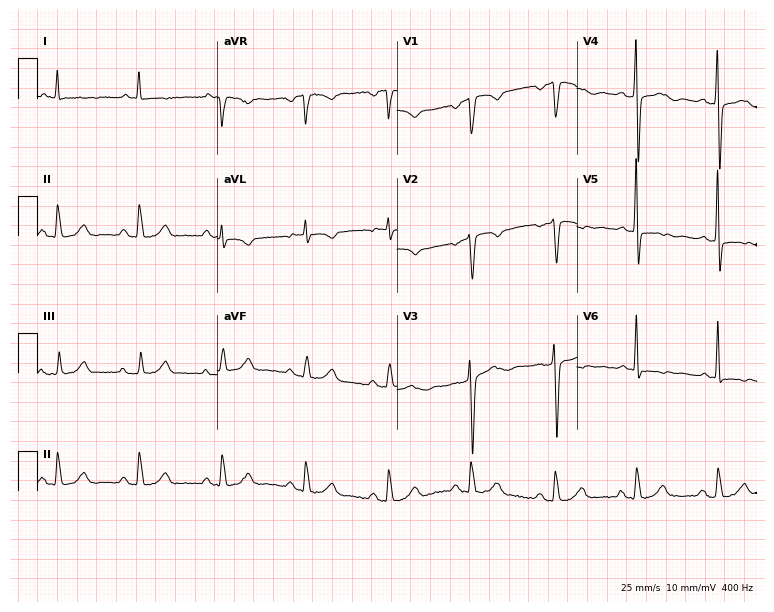
Electrocardiogram, a male patient, 56 years old. Of the six screened findings (first-degree AV block, right bundle branch block (RBBB), left bundle branch block (LBBB), sinus bradycardia, atrial fibrillation (AF), sinus tachycardia), none is recorded.